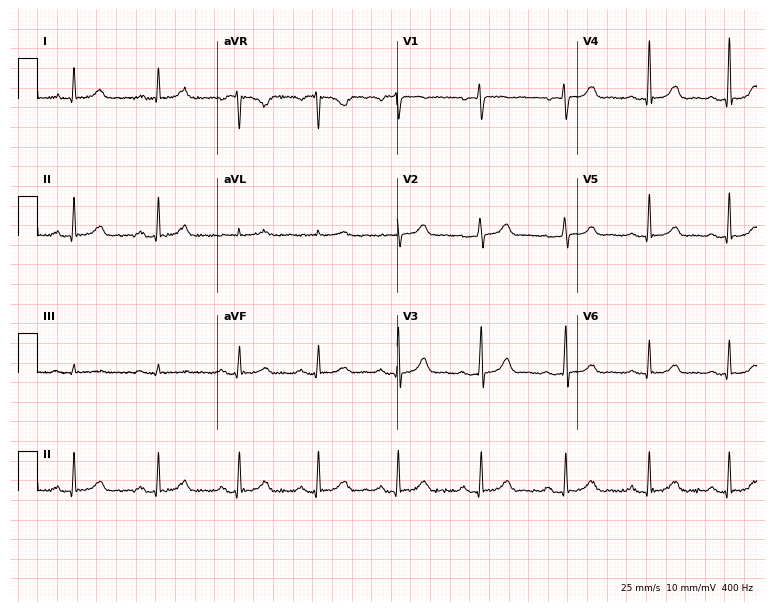
ECG — a female, 52 years old. Labelled as a normal ECG.